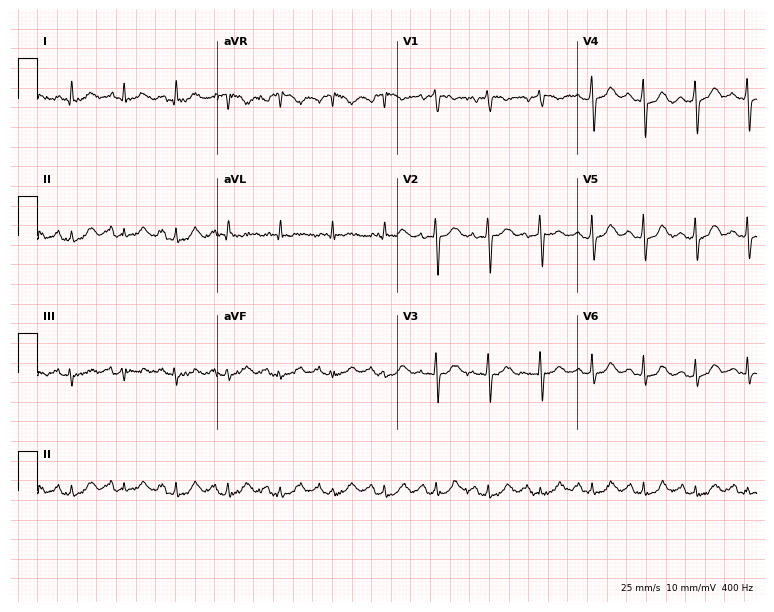
12-lead ECG from a female patient, 78 years old (7.3-second recording at 400 Hz). No first-degree AV block, right bundle branch block, left bundle branch block, sinus bradycardia, atrial fibrillation or sinus tachycardia recorded for this tracing.